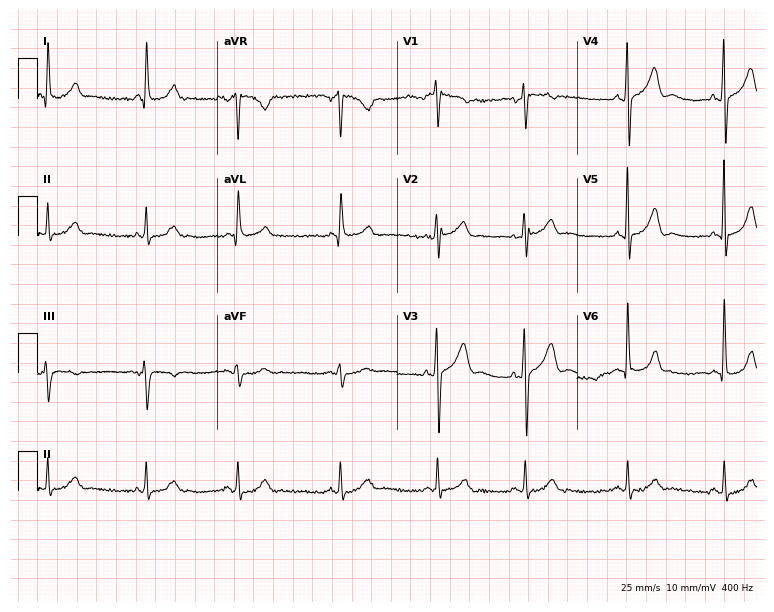
12-lead ECG from a 78-year-old male patient (7.3-second recording at 400 Hz). No first-degree AV block, right bundle branch block (RBBB), left bundle branch block (LBBB), sinus bradycardia, atrial fibrillation (AF) or sinus tachycardia recorded for this tracing.